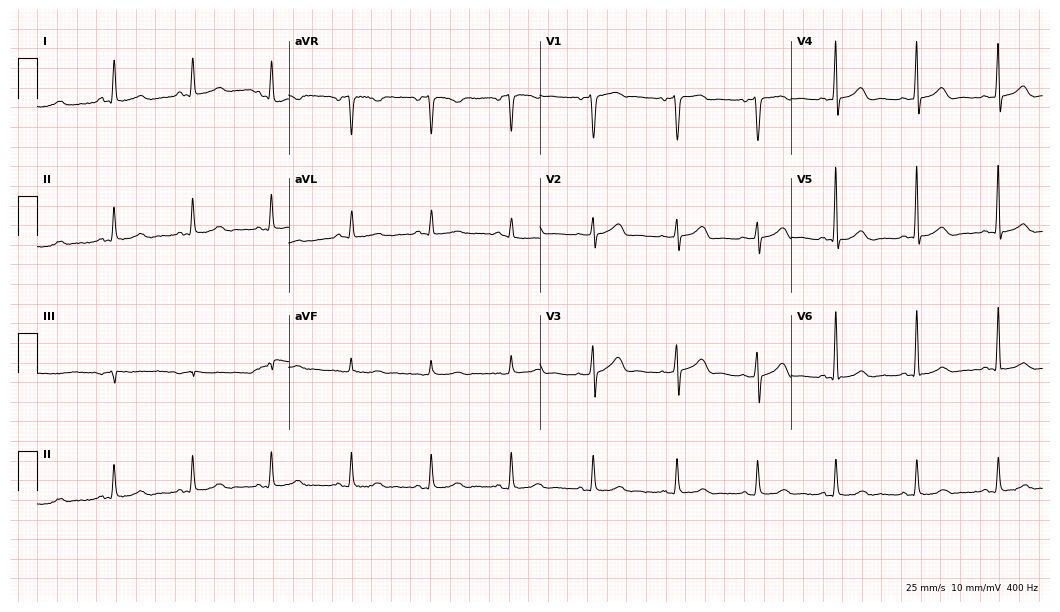
Electrocardiogram, a female patient, 53 years old. Overall reading on record: normal ECG.